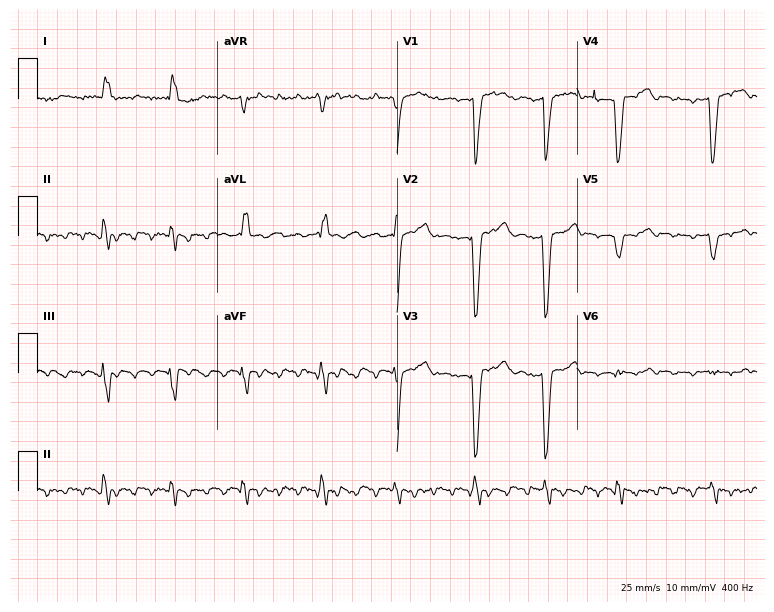
12-lead ECG from a female, 85 years old. Shows left bundle branch block, atrial fibrillation.